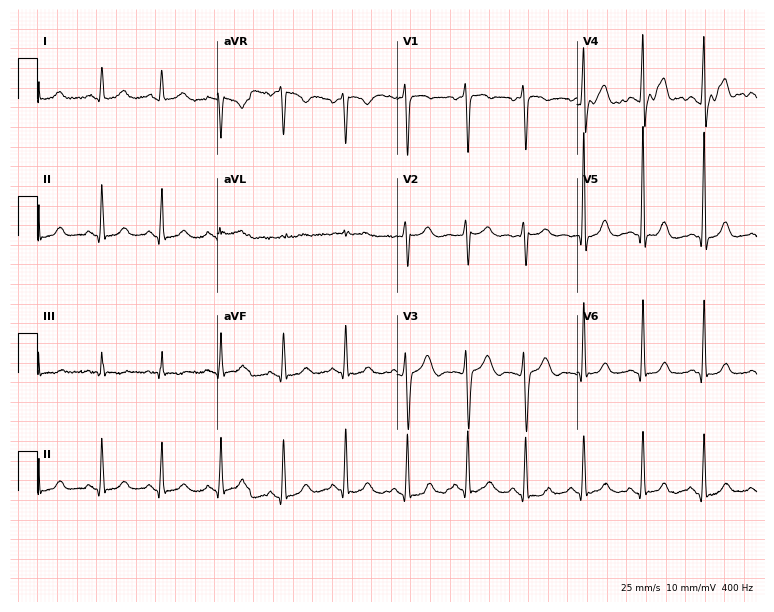
ECG (7.3-second recording at 400 Hz) — a 44-year-old female patient. Screened for six findings — first-degree AV block, right bundle branch block, left bundle branch block, sinus bradycardia, atrial fibrillation, sinus tachycardia — none is recorded.